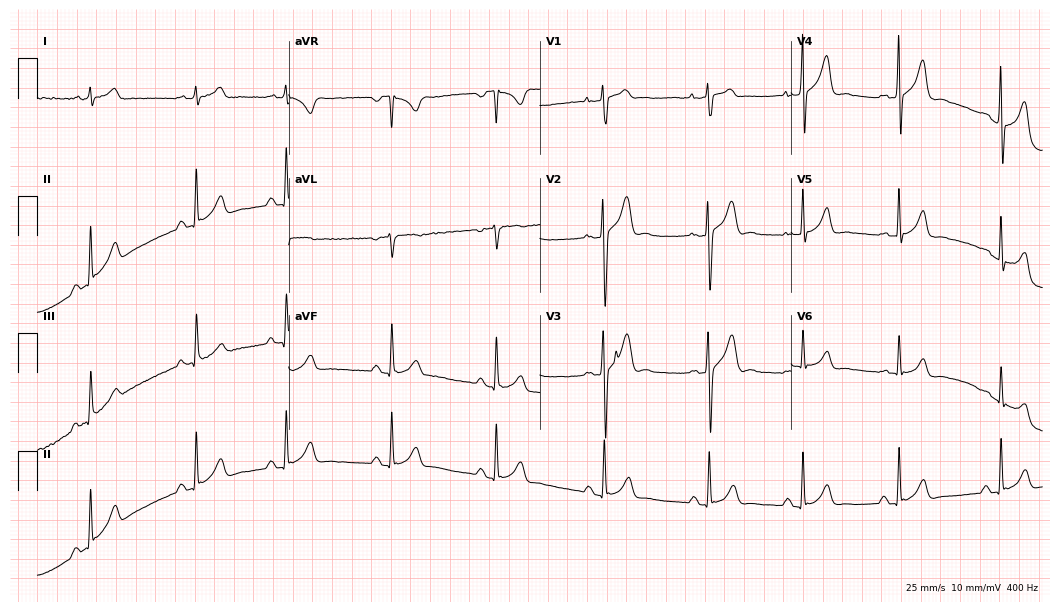
Electrocardiogram (10.2-second recording at 400 Hz), a male, 21 years old. Overall reading on record: normal ECG.